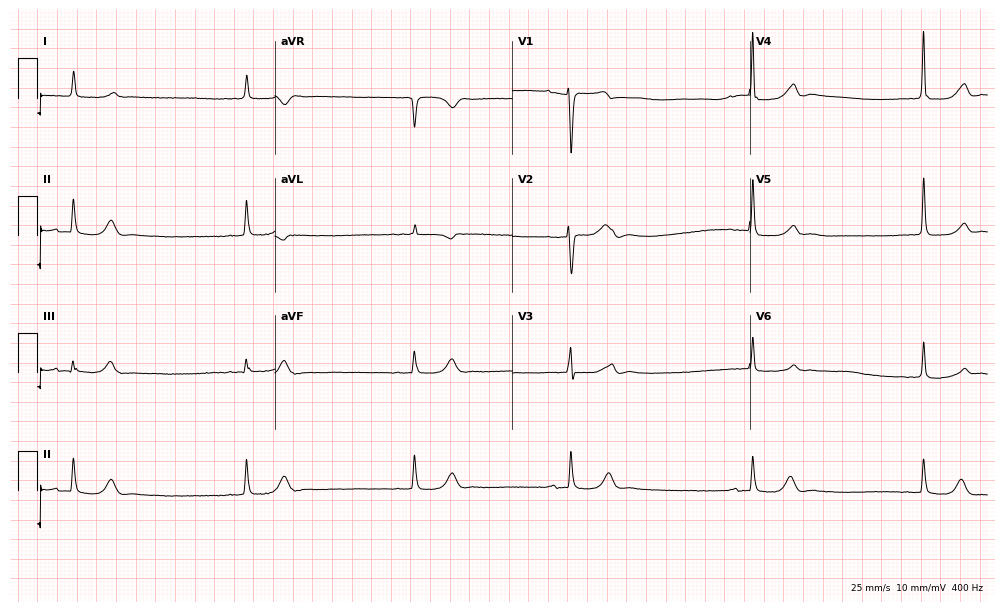
12-lead ECG from an 80-year-old woman (9.7-second recording at 400 Hz). No first-degree AV block, right bundle branch block, left bundle branch block, sinus bradycardia, atrial fibrillation or sinus tachycardia recorded for this tracing. Findings outside these six are not listed.